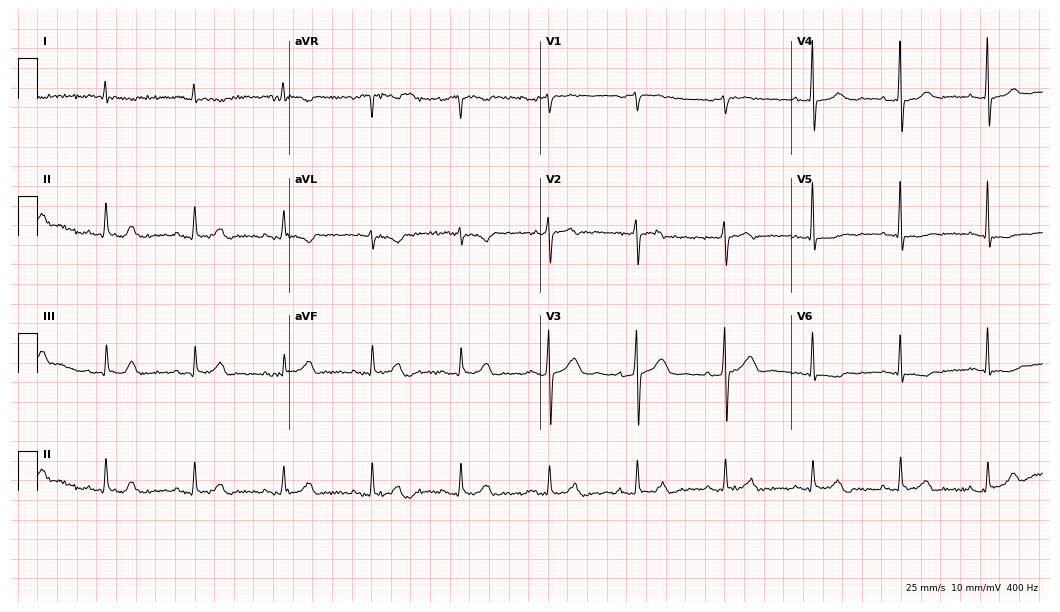
Resting 12-lead electrocardiogram. Patient: a 74-year-old woman. None of these six findings is recorded: first-degree AV block, right bundle branch block (RBBB), left bundle branch block (LBBB), sinus bradycardia, atrial fibrillation (AF), sinus tachycardia. Findings outside these six are not listed.